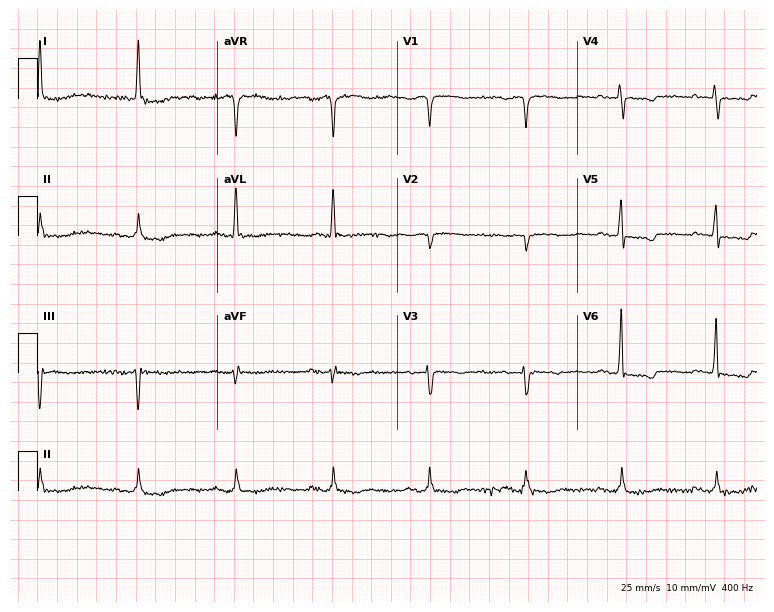
Resting 12-lead electrocardiogram. Patient: a 70-year-old woman. The tracing shows first-degree AV block.